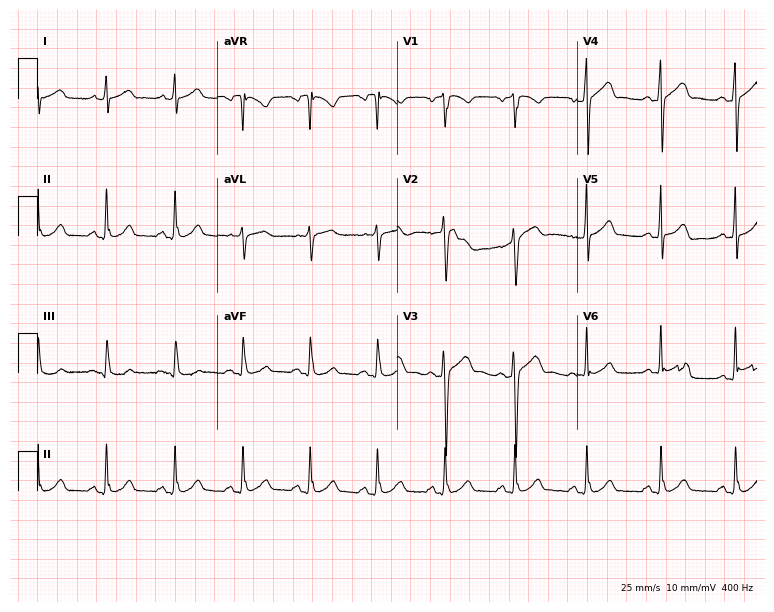
Resting 12-lead electrocardiogram. Patient: a 52-year-old male. None of these six findings is recorded: first-degree AV block, right bundle branch block (RBBB), left bundle branch block (LBBB), sinus bradycardia, atrial fibrillation (AF), sinus tachycardia.